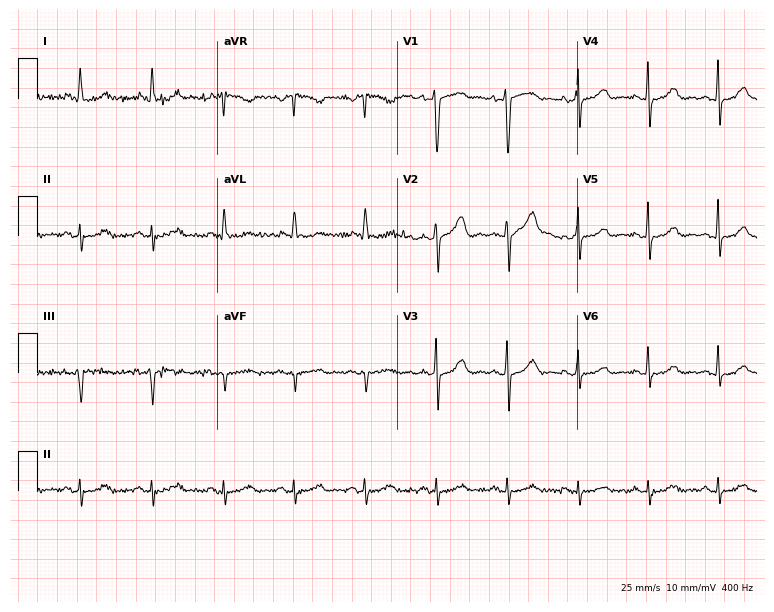
ECG — a 75-year-old woman. Screened for six findings — first-degree AV block, right bundle branch block (RBBB), left bundle branch block (LBBB), sinus bradycardia, atrial fibrillation (AF), sinus tachycardia — none is recorded.